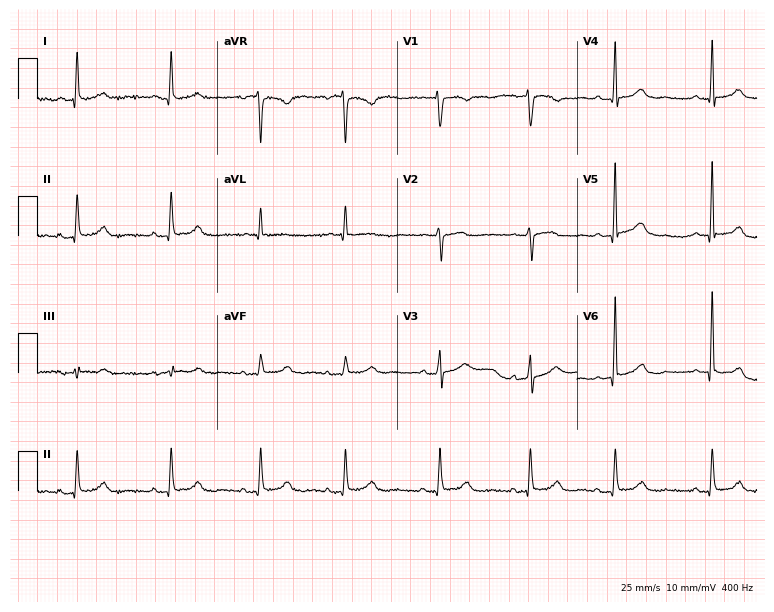
Standard 12-lead ECG recorded from an 81-year-old woman. Read as a normal ECG.